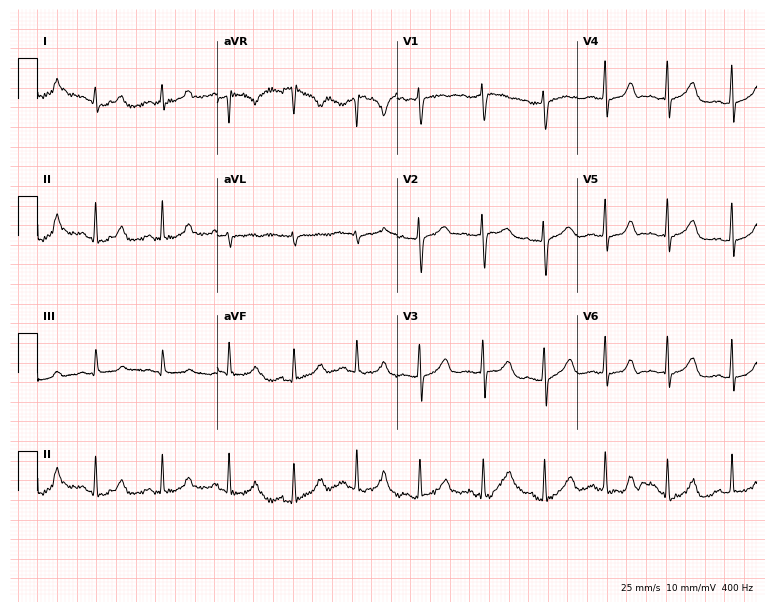
12-lead ECG from a 37-year-old female. Recorded interpretation: within normal limits.